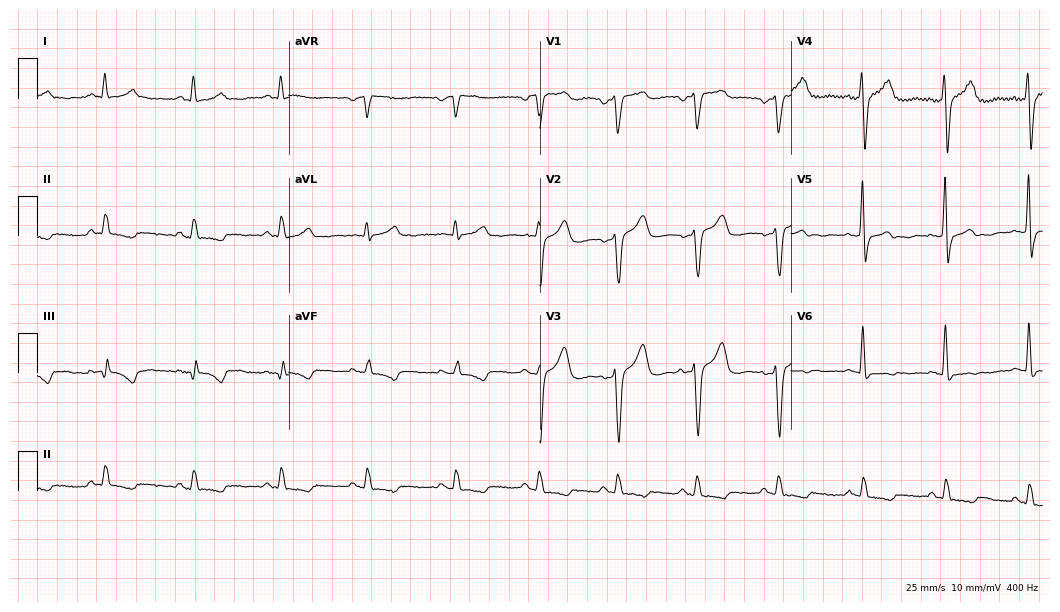
Standard 12-lead ECG recorded from a male, 61 years old (10.2-second recording at 400 Hz). None of these six findings is recorded: first-degree AV block, right bundle branch block, left bundle branch block, sinus bradycardia, atrial fibrillation, sinus tachycardia.